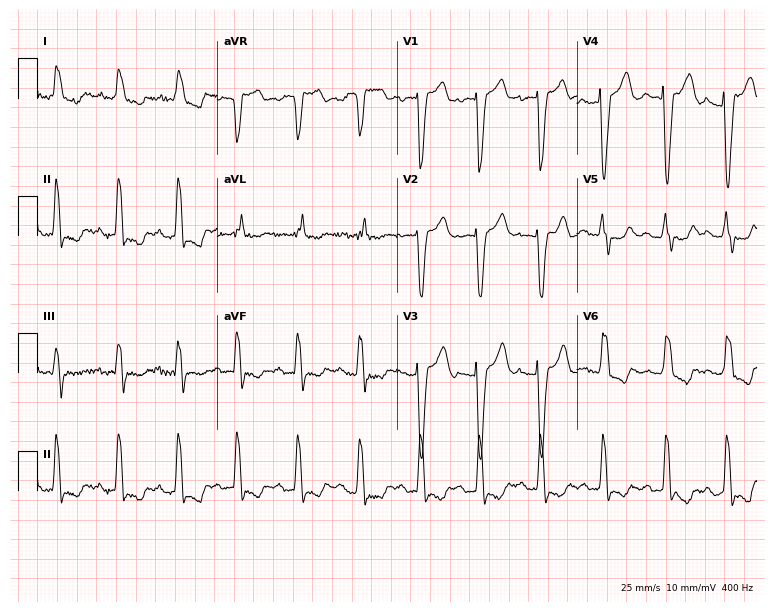
12-lead ECG from a woman, 83 years old. Findings include left bundle branch block (LBBB).